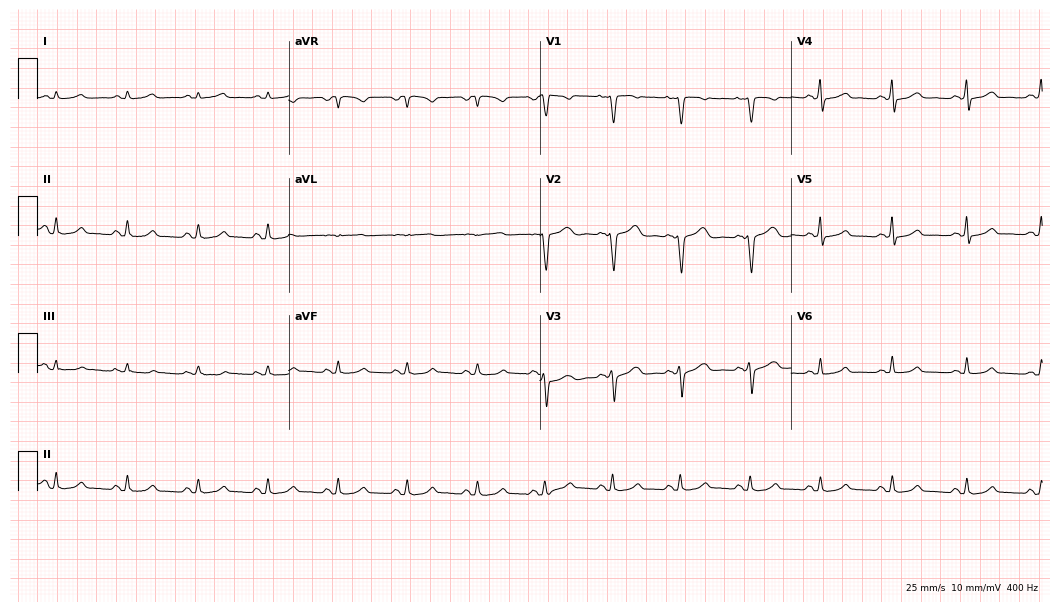
ECG (10.2-second recording at 400 Hz) — a 43-year-old woman. Screened for six findings — first-degree AV block, right bundle branch block, left bundle branch block, sinus bradycardia, atrial fibrillation, sinus tachycardia — none is recorded.